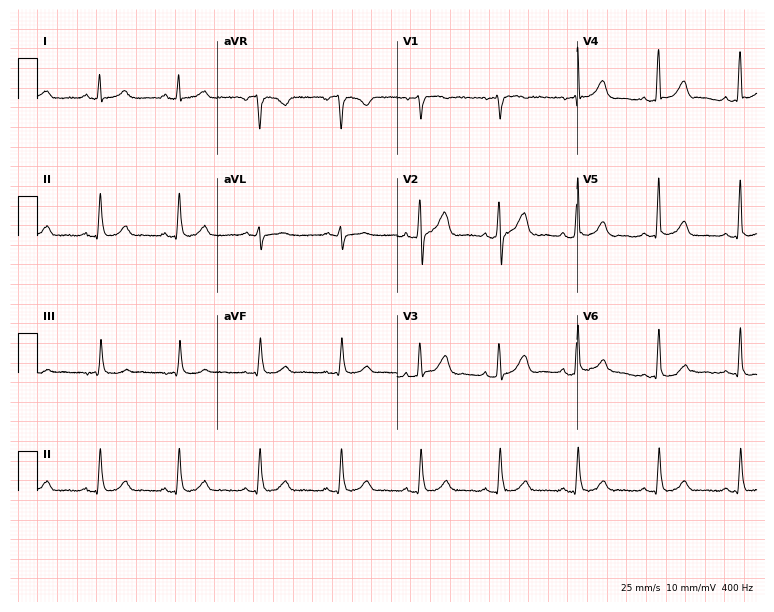
12-lead ECG from a female patient, 54 years old (7.3-second recording at 400 Hz). Recorded interpretation: within normal limits.